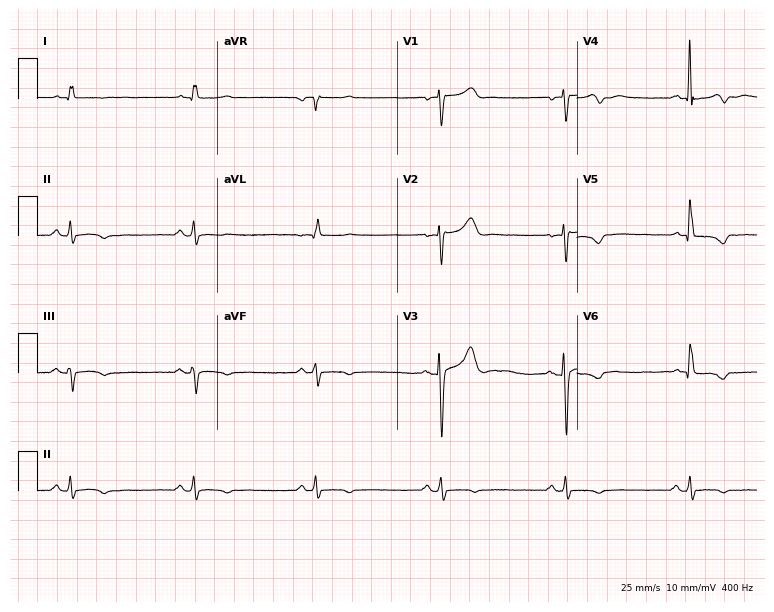
12-lead ECG (7.3-second recording at 400 Hz) from a female, 74 years old. Screened for six findings — first-degree AV block, right bundle branch block, left bundle branch block, sinus bradycardia, atrial fibrillation, sinus tachycardia — none is recorded.